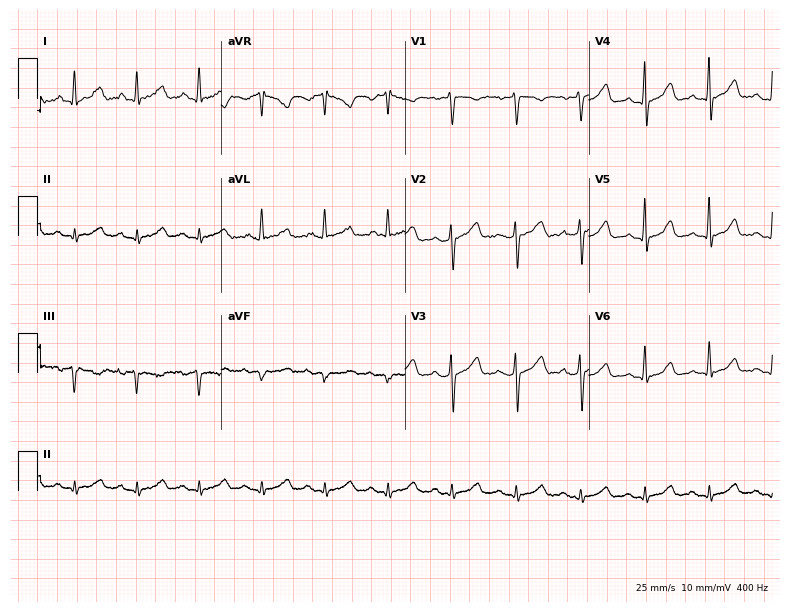
Resting 12-lead electrocardiogram (7.5-second recording at 400 Hz). Patient: a woman, 52 years old. Read as a normal ECG.